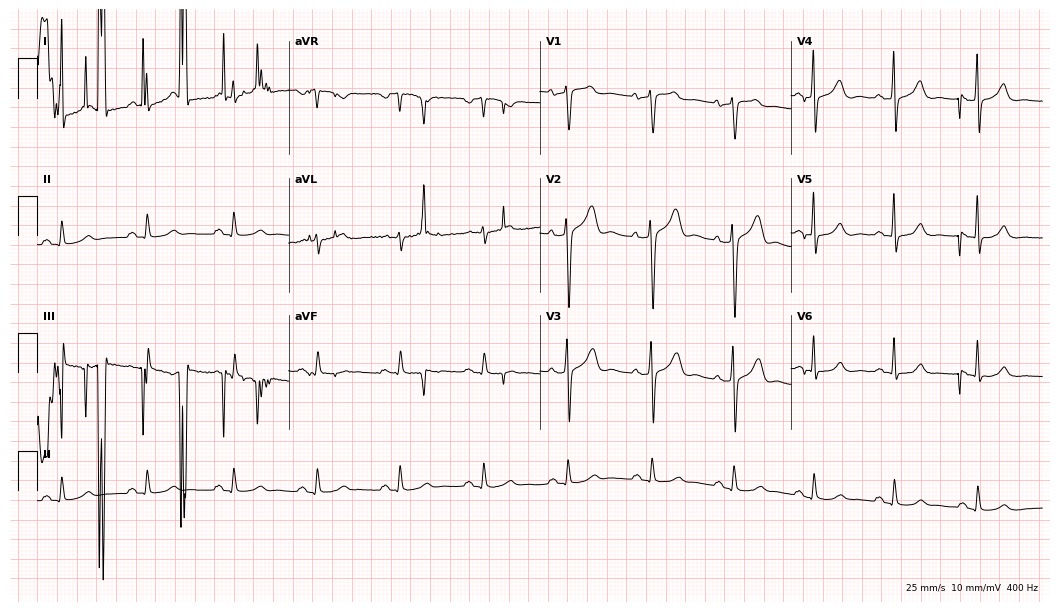
ECG (10.2-second recording at 400 Hz) — a male, 59 years old. Labelled as a normal ECG.